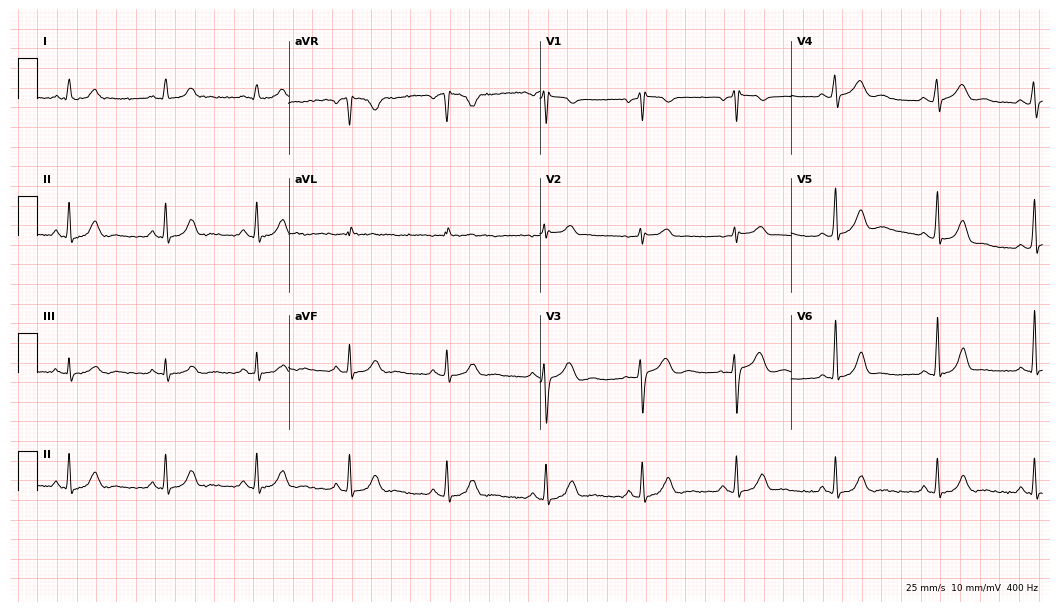
Resting 12-lead electrocardiogram. Patient: a female, 36 years old. None of these six findings is recorded: first-degree AV block, right bundle branch block, left bundle branch block, sinus bradycardia, atrial fibrillation, sinus tachycardia. Other findings, if any, are not listed.